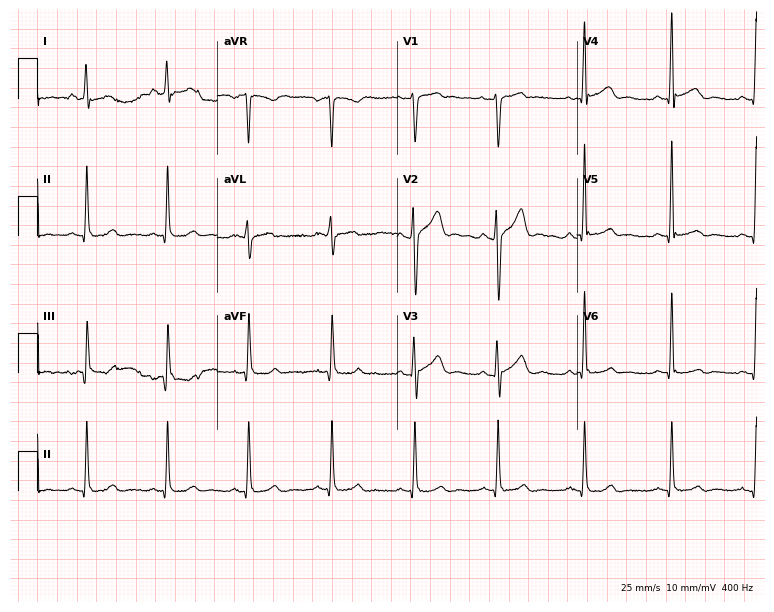
Resting 12-lead electrocardiogram. Patient: a 27-year-old male. None of these six findings is recorded: first-degree AV block, right bundle branch block (RBBB), left bundle branch block (LBBB), sinus bradycardia, atrial fibrillation (AF), sinus tachycardia. Findings outside these six are not listed.